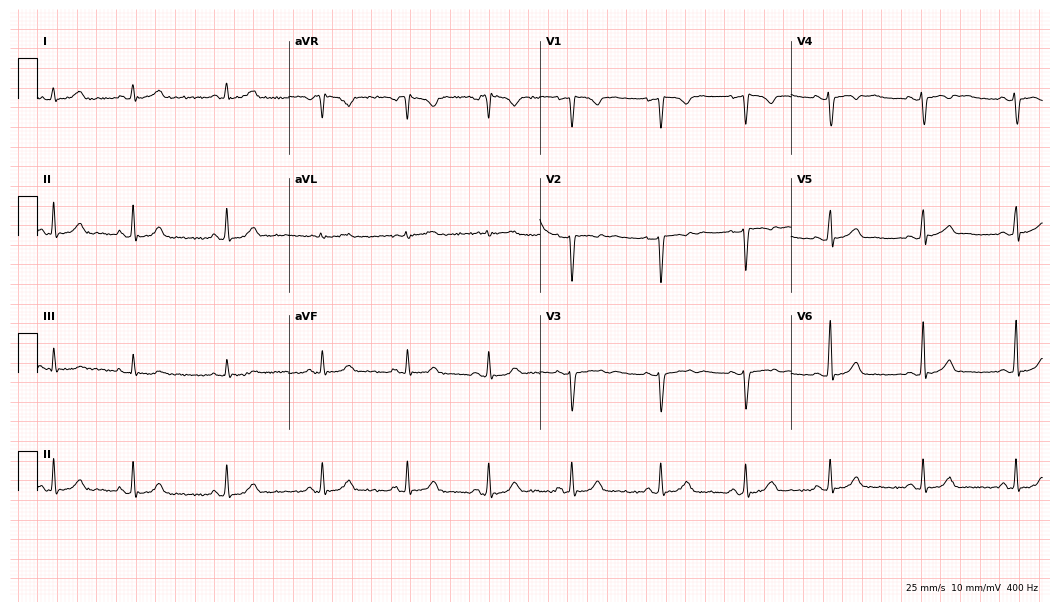
Electrocardiogram, a 26-year-old female. Overall reading on record: normal ECG.